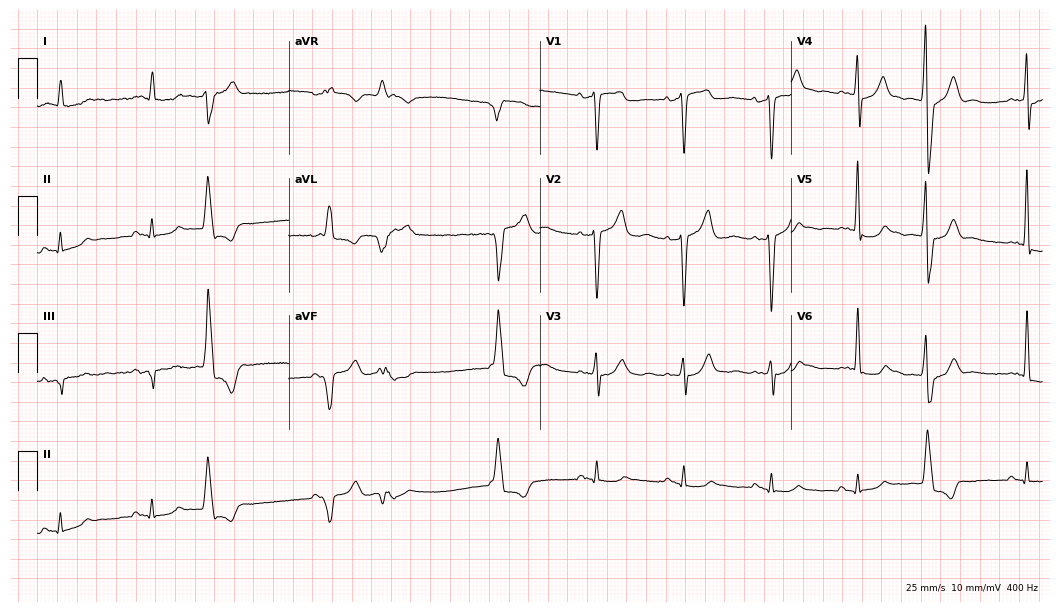
12-lead ECG from an 80-year-old male patient. Labelled as a normal ECG.